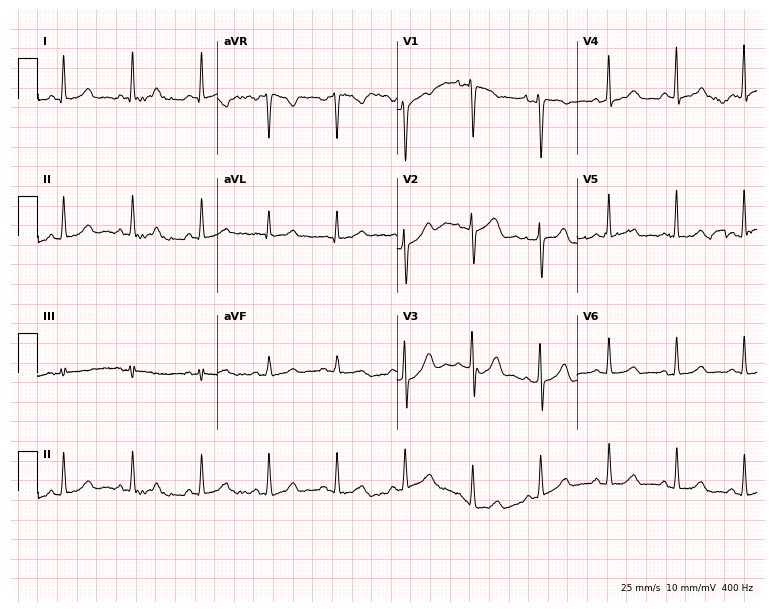
Resting 12-lead electrocardiogram (7.3-second recording at 400 Hz). Patient: a woman, 42 years old. None of these six findings is recorded: first-degree AV block, right bundle branch block, left bundle branch block, sinus bradycardia, atrial fibrillation, sinus tachycardia.